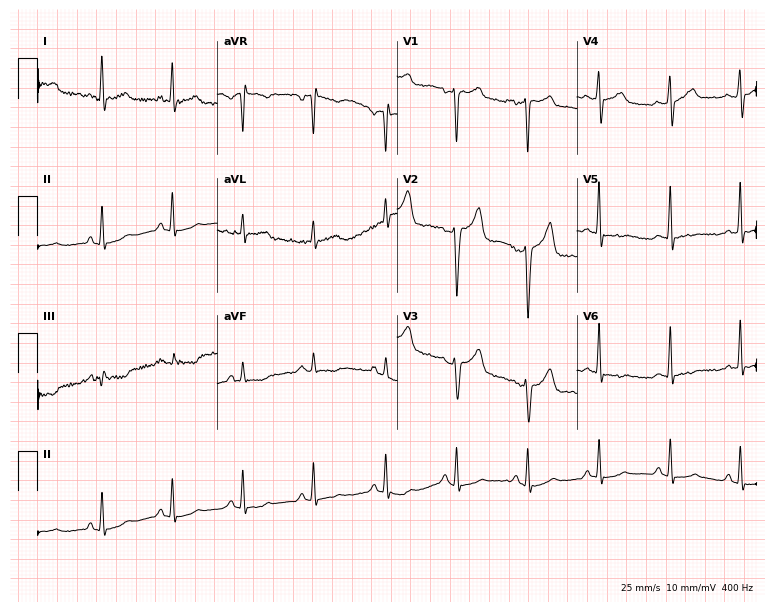
ECG — a male, 40 years old. Screened for six findings — first-degree AV block, right bundle branch block (RBBB), left bundle branch block (LBBB), sinus bradycardia, atrial fibrillation (AF), sinus tachycardia — none is recorded. Only these six findings were labelled.